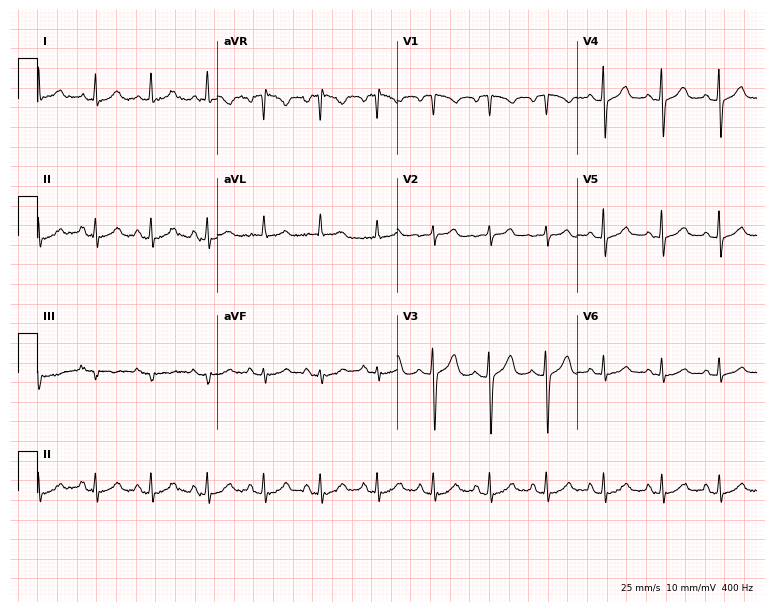
Resting 12-lead electrocardiogram (7.3-second recording at 400 Hz). Patient: a female, 68 years old. The tracing shows sinus tachycardia (a sinus rate of 100 beats per minute or more).